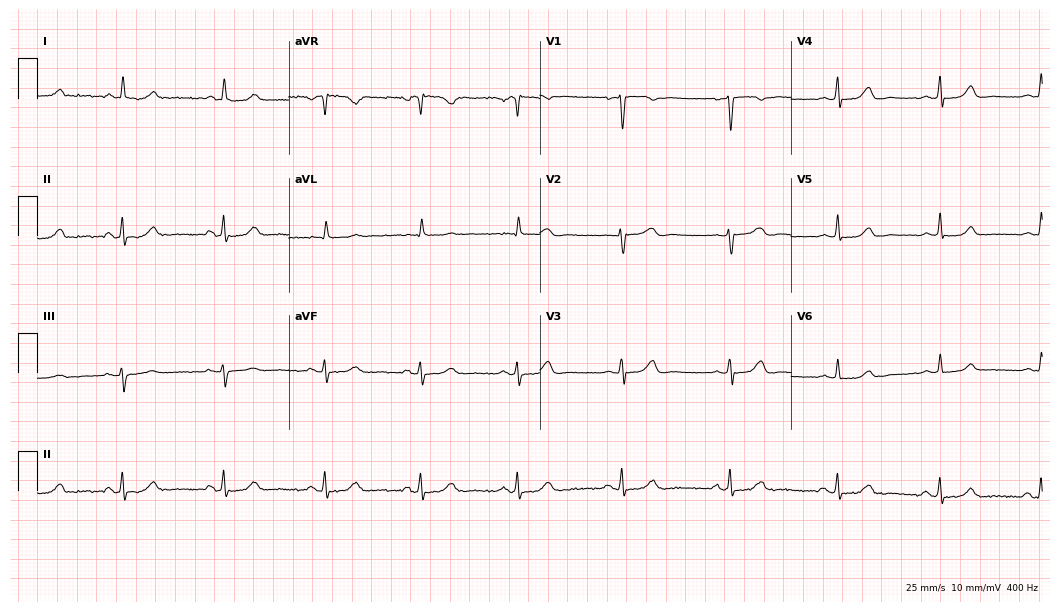
Standard 12-lead ECG recorded from a 47-year-old woman. None of these six findings is recorded: first-degree AV block, right bundle branch block, left bundle branch block, sinus bradycardia, atrial fibrillation, sinus tachycardia. Other findings, if any, are not listed.